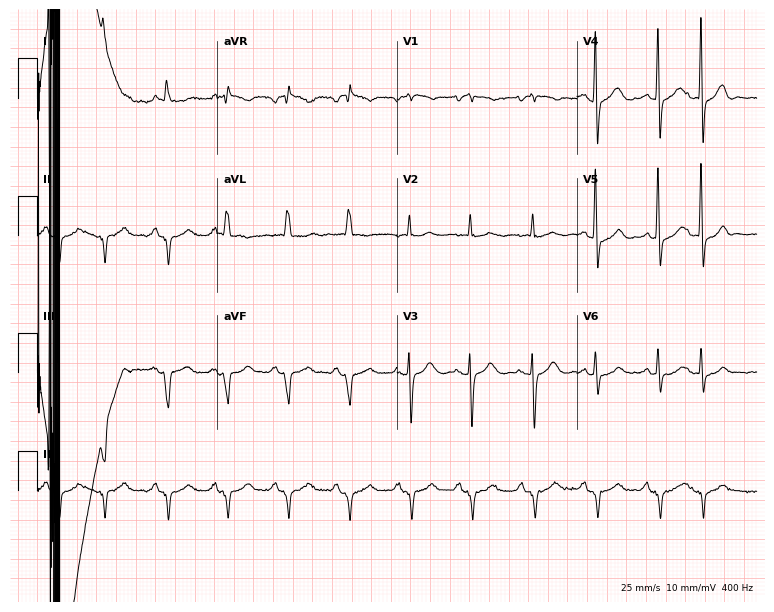
ECG (7.3-second recording at 400 Hz) — an 85-year-old male. Screened for six findings — first-degree AV block, right bundle branch block, left bundle branch block, sinus bradycardia, atrial fibrillation, sinus tachycardia — none is recorded. Findings outside these six are not listed.